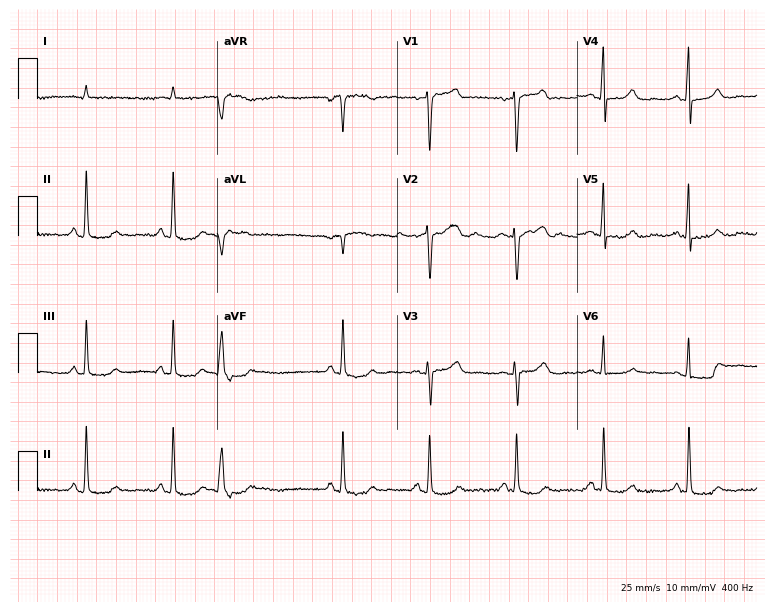
ECG (7.3-second recording at 400 Hz) — an 82-year-old male. Screened for six findings — first-degree AV block, right bundle branch block, left bundle branch block, sinus bradycardia, atrial fibrillation, sinus tachycardia — none is recorded.